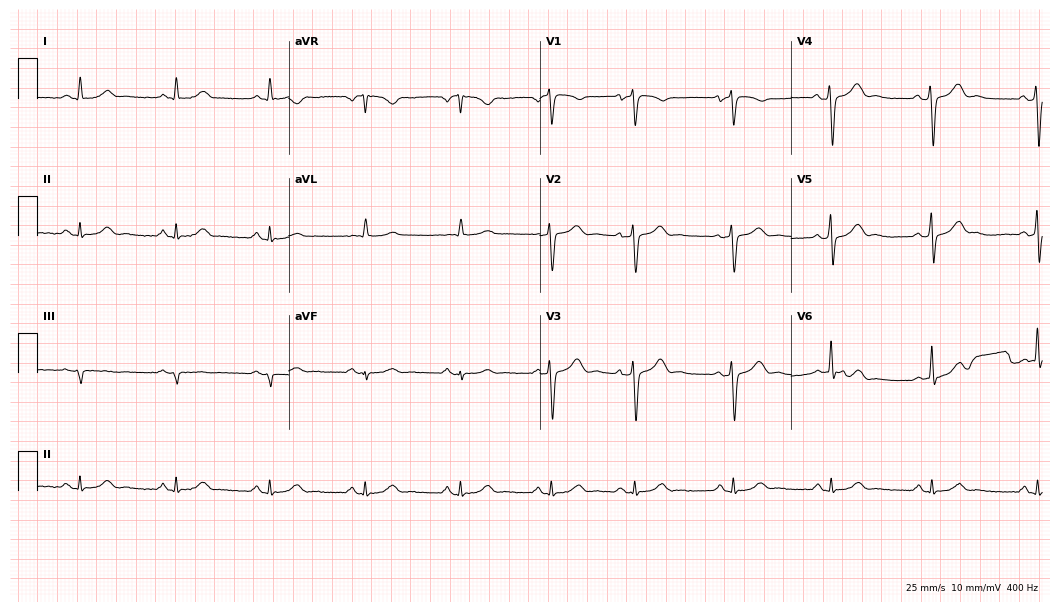
ECG — a 64-year-old man. Screened for six findings — first-degree AV block, right bundle branch block, left bundle branch block, sinus bradycardia, atrial fibrillation, sinus tachycardia — none is recorded. Other findings, if any, are not listed.